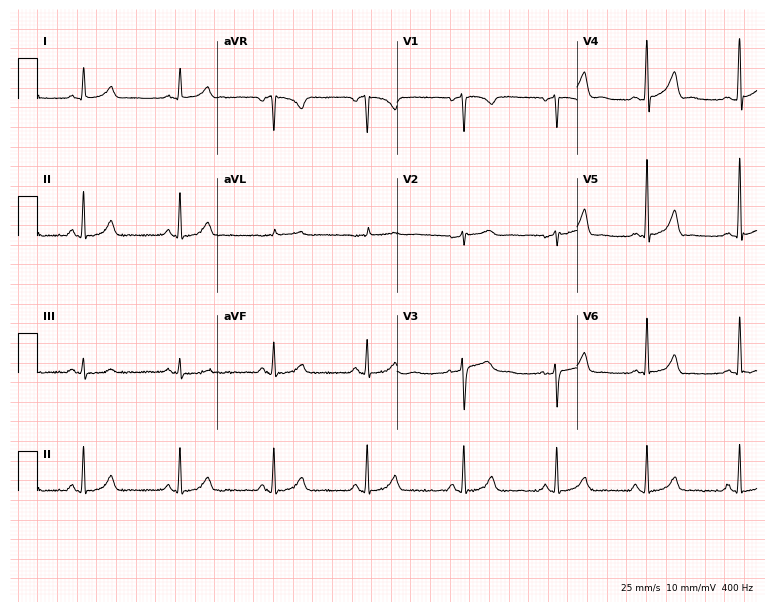
Standard 12-lead ECG recorded from a 42-year-old woman (7.3-second recording at 400 Hz). None of these six findings is recorded: first-degree AV block, right bundle branch block, left bundle branch block, sinus bradycardia, atrial fibrillation, sinus tachycardia. Other findings, if any, are not listed.